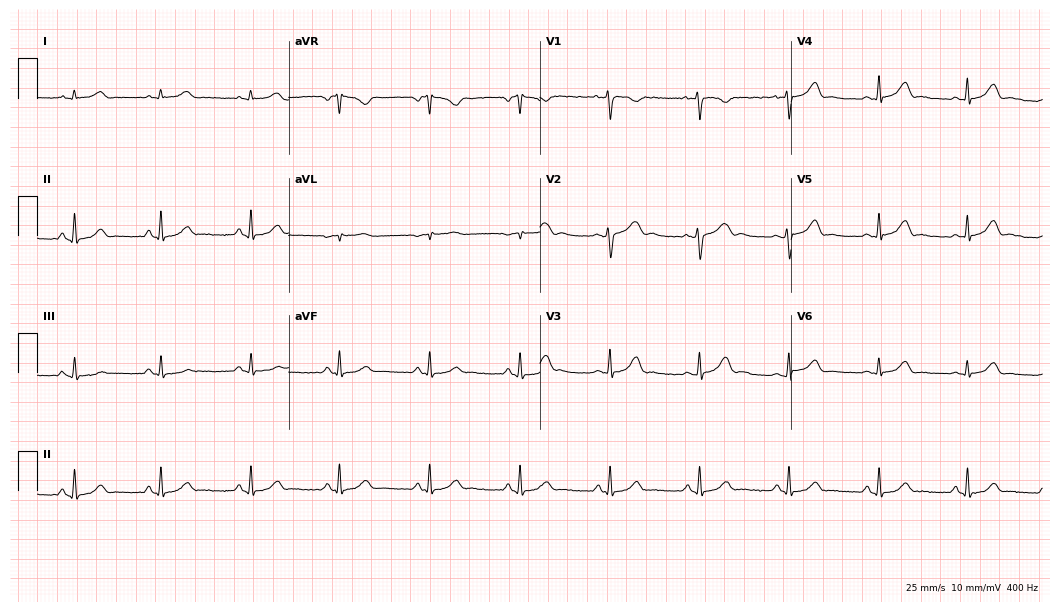
ECG (10.2-second recording at 400 Hz) — a female, 37 years old. Labelled as a normal ECG.